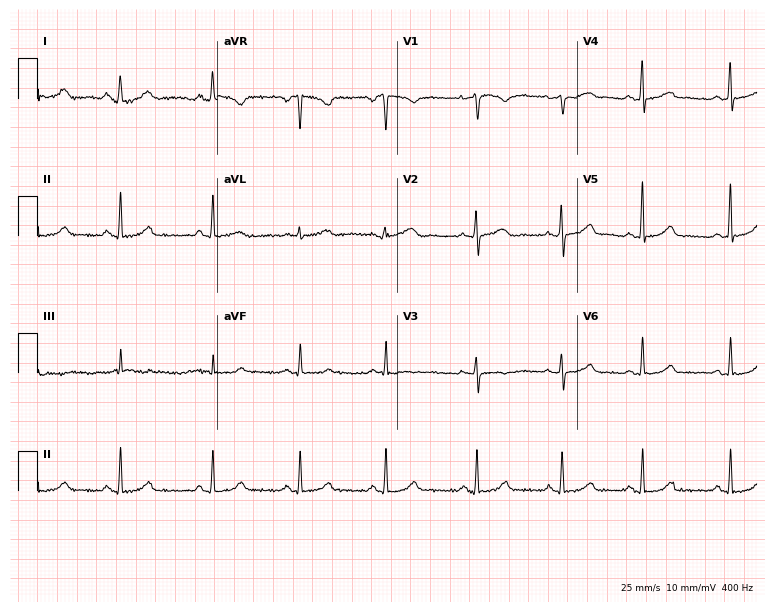
ECG — a woman, 41 years old. Labelled as a normal ECG.